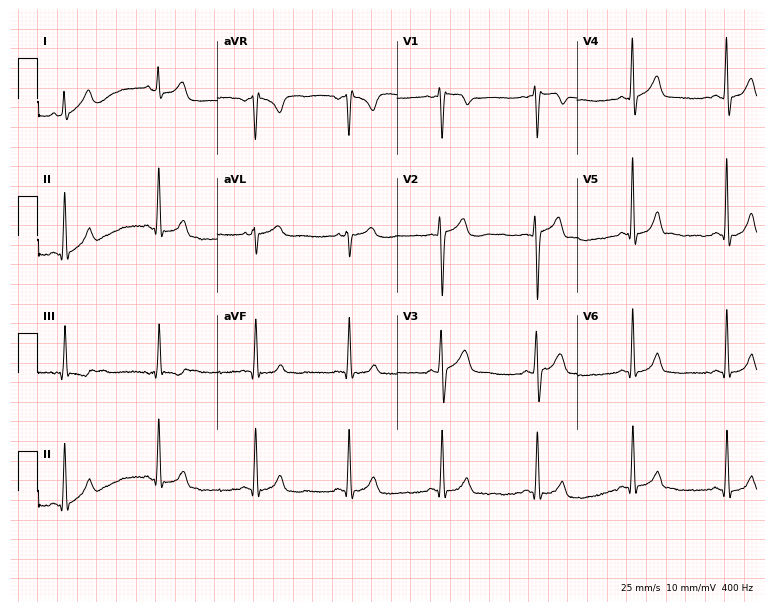
Resting 12-lead electrocardiogram (7.3-second recording at 400 Hz). Patient: a male, 32 years old. None of these six findings is recorded: first-degree AV block, right bundle branch block, left bundle branch block, sinus bradycardia, atrial fibrillation, sinus tachycardia.